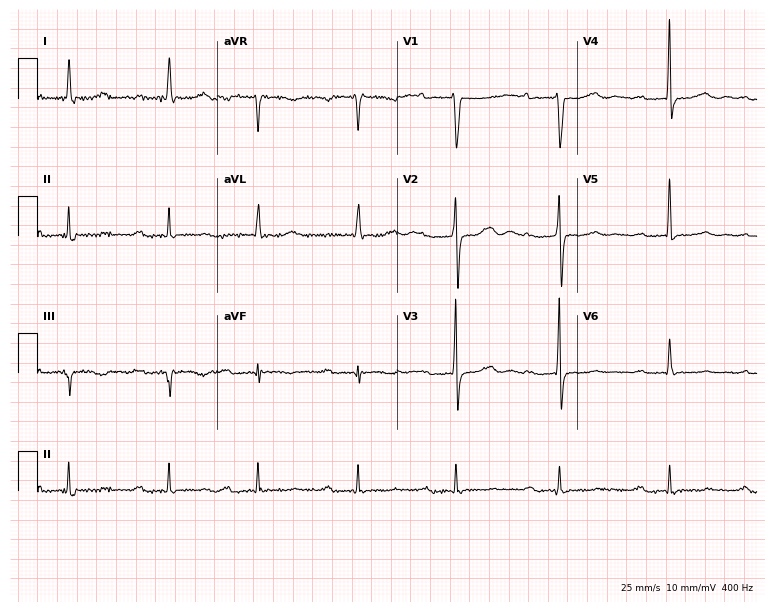
ECG (7.3-second recording at 400 Hz) — a 66-year-old woman. Screened for six findings — first-degree AV block, right bundle branch block, left bundle branch block, sinus bradycardia, atrial fibrillation, sinus tachycardia — none is recorded. Only these six findings were labelled.